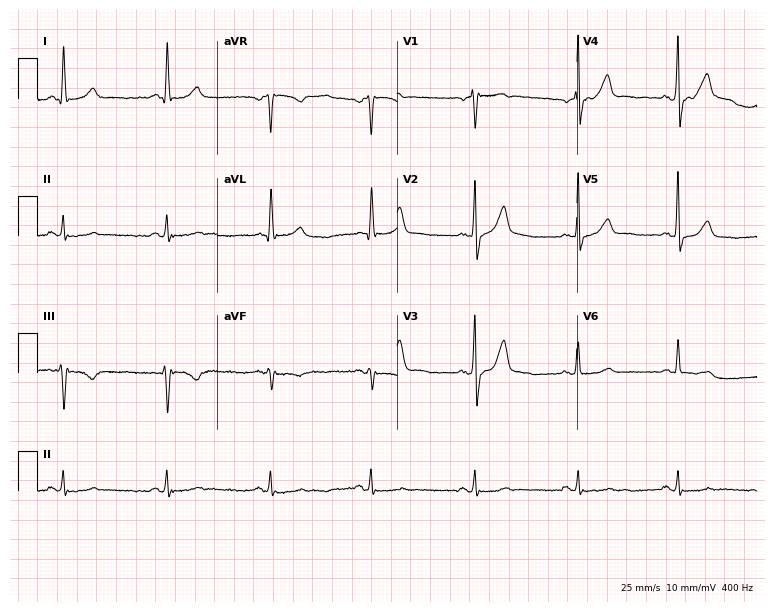
Standard 12-lead ECG recorded from a 65-year-old male. None of these six findings is recorded: first-degree AV block, right bundle branch block, left bundle branch block, sinus bradycardia, atrial fibrillation, sinus tachycardia.